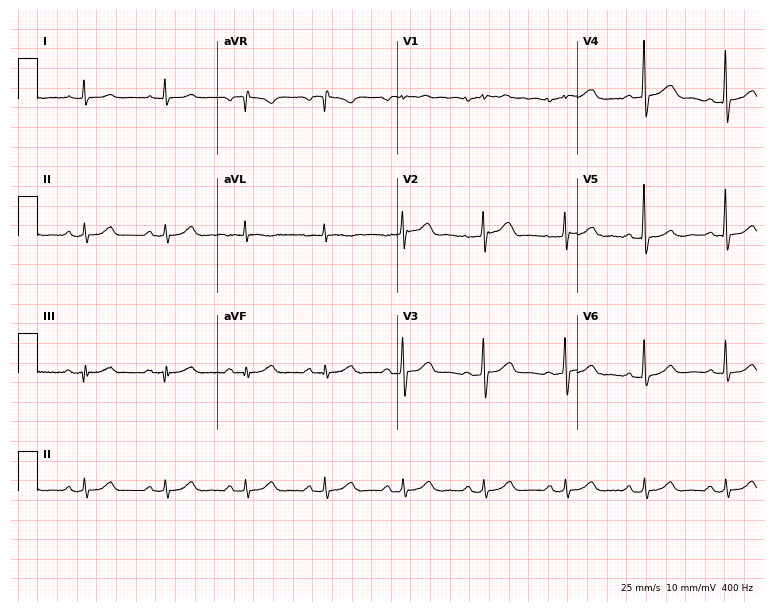
12-lead ECG from a male, 74 years old. Recorded interpretation: within normal limits.